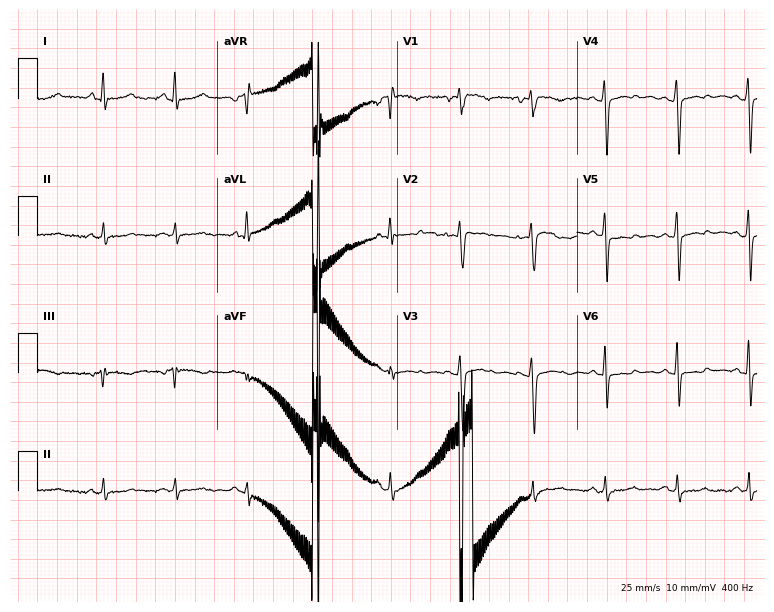
12-lead ECG from a 50-year-old woman. No first-degree AV block, right bundle branch block (RBBB), left bundle branch block (LBBB), sinus bradycardia, atrial fibrillation (AF) or sinus tachycardia recorded for this tracing.